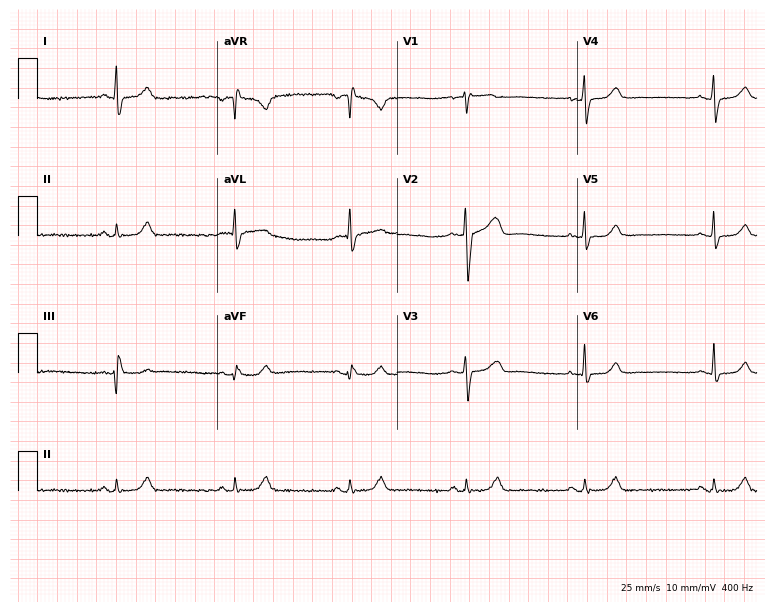
Resting 12-lead electrocardiogram. Patient: a female, 55 years old. Read as a normal ECG.